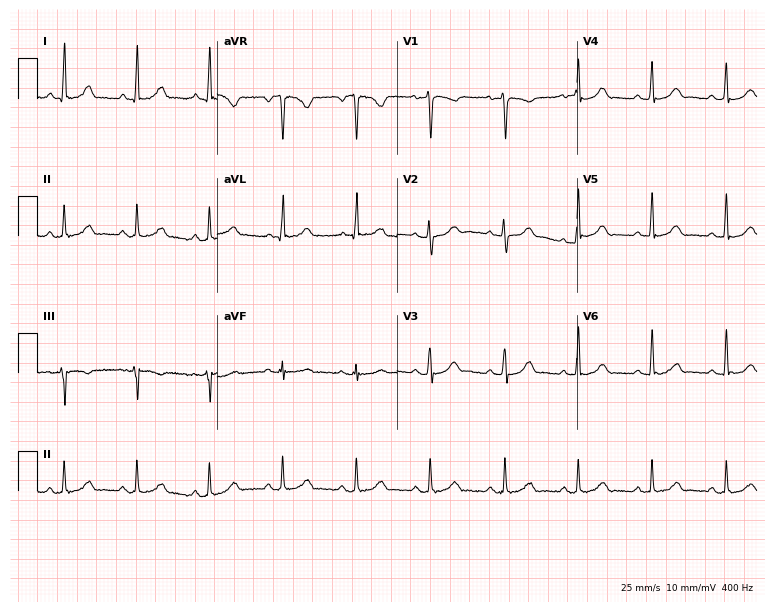
Standard 12-lead ECG recorded from a female, 42 years old. None of these six findings is recorded: first-degree AV block, right bundle branch block, left bundle branch block, sinus bradycardia, atrial fibrillation, sinus tachycardia.